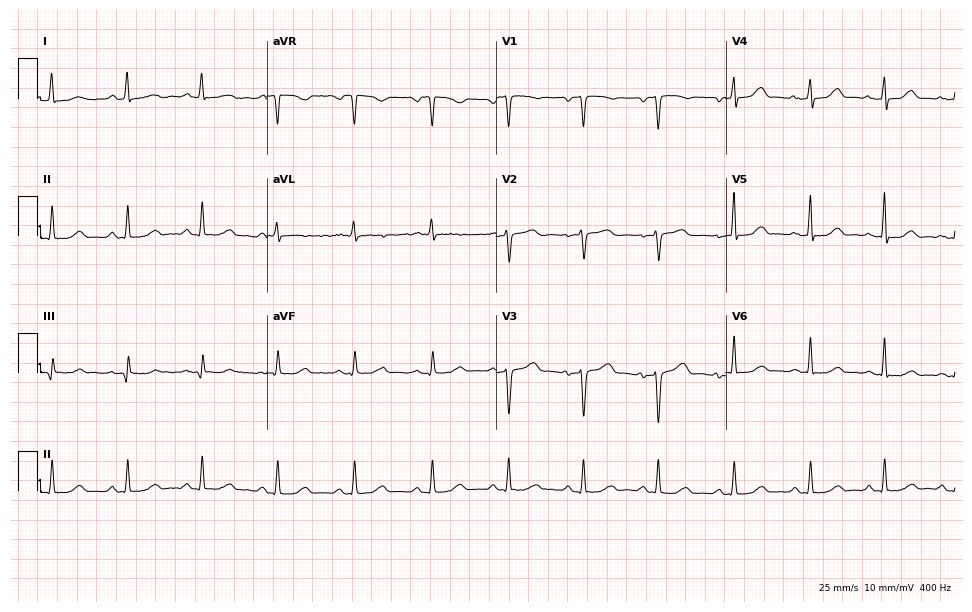
Resting 12-lead electrocardiogram (9.4-second recording at 400 Hz). Patient: a woman, 49 years old. None of these six findings is recorded: first-degree AV block, right bundle branch block (RBBB), left bundle branch block (LBBB), sinus bradycardia, atrial fibrillation (AF), sinus tachycardia. Findings outside these six are not listed.